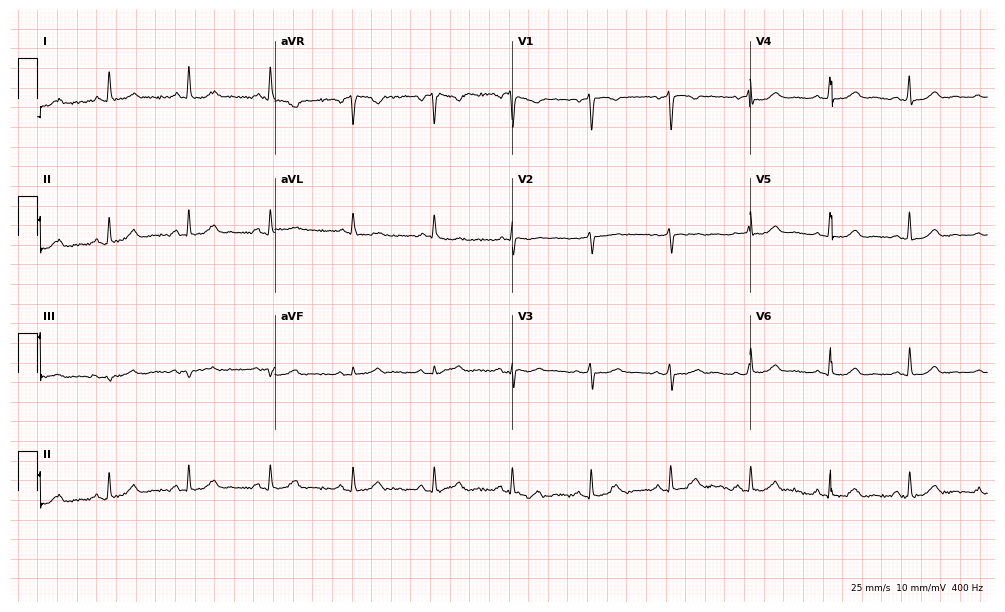
Standard 12-lead ECG recorded from a 71-year-old female (9.7-second recording at 400 Hz). Read as a normal ECG.